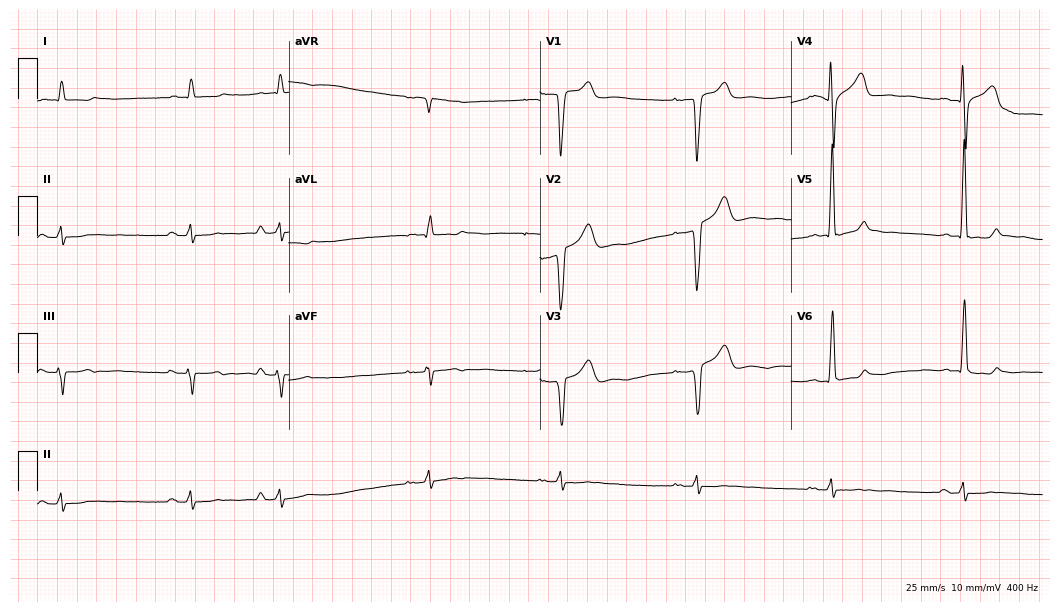
12-lead ECG from a male, 60 years old. Screened for six findings — first-degree AV block, right bundle branch block, left bundle branch block, sinus bradycardia, atrial fibrillation, sinus tachycardia — none is recorded.